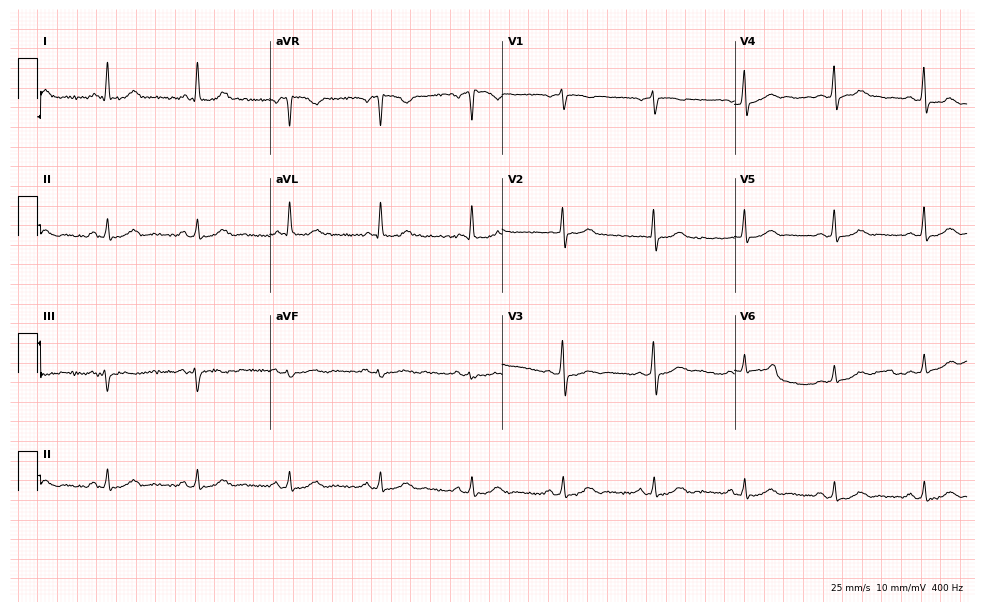
12-lead ECG (9.5-second recording at 400 Hz) from a 67-year-old female patient. Labelled as a normal ECG.